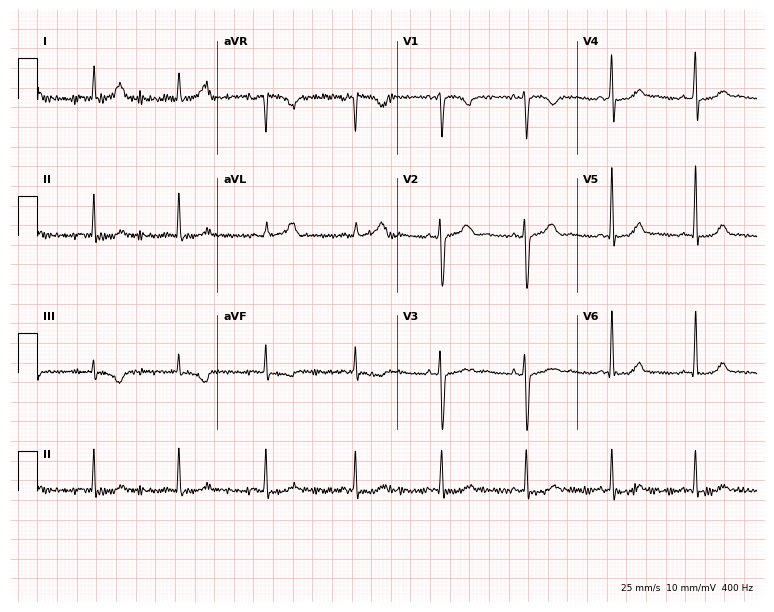
Electrocardiogram, a female, 39 years old. Of the six screened findings (first-degree AV block, right bundle branch block, left bundle branch block, sinus bradycardia, atrial fibrillation, sinus tachycardia), none is recorded.